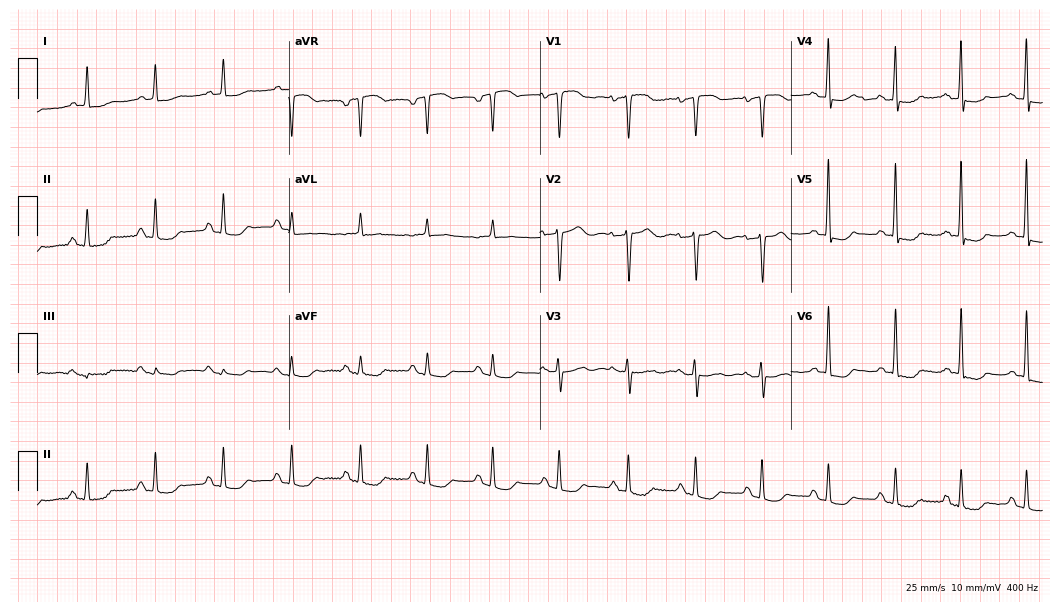
Electrocardiogram, a female patient, 73 years old. Of the six screened findings (first-degree AV block, right bundle branch block, left bundle branch block, sinus bradycardia, atrial fibrillation, sinus tachycardia), none is recorded. Other findings, if any, are not listed.